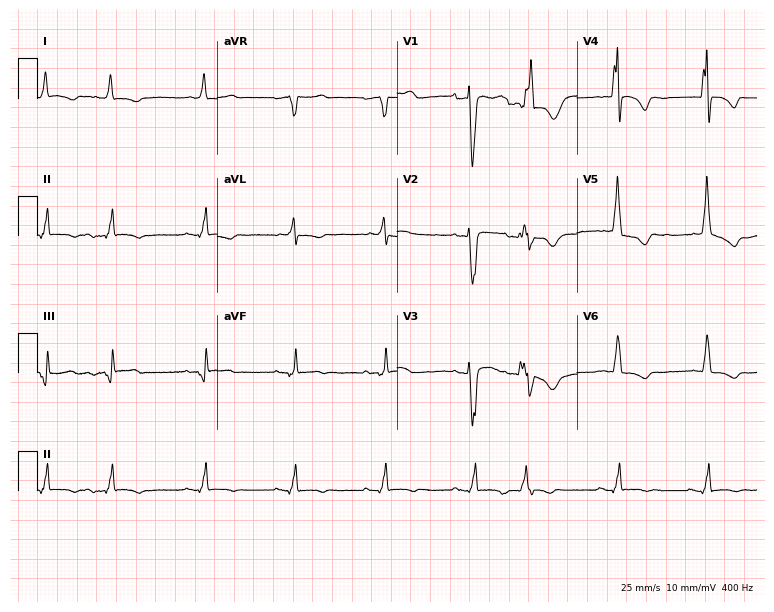
Resting 12-lead electrocardiogram. Patient: a male, 78 years old. None of these six findings is recorded: first-degree AV block, right bundle branch block, left bundle branch block, sinus bradycardia, atrial fibrillation, sinus tachycardia.